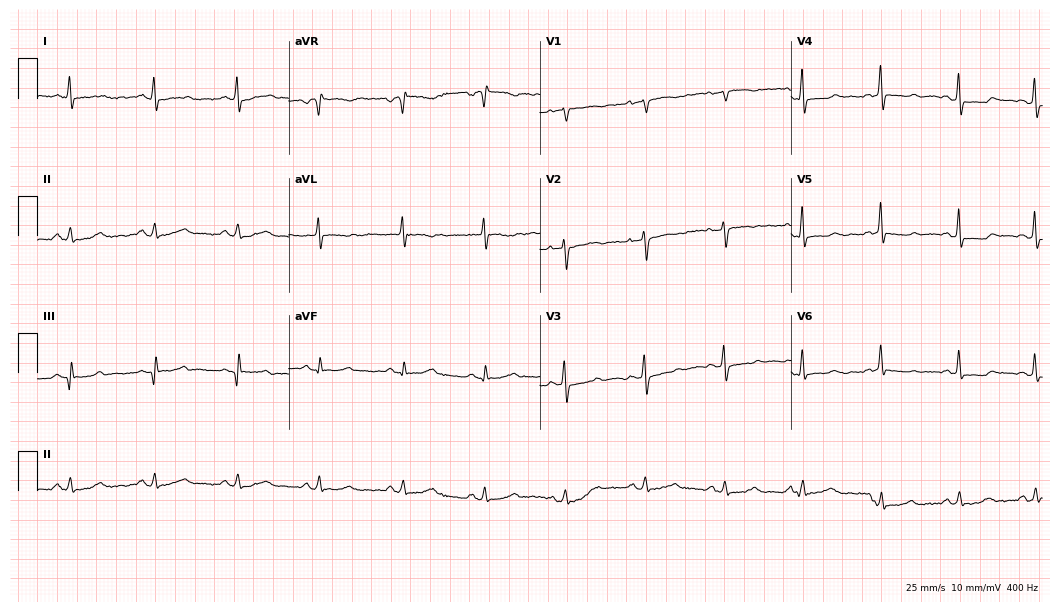
12-lead ECG from a 59-year-old female patient. Labelled as a normal ECG.